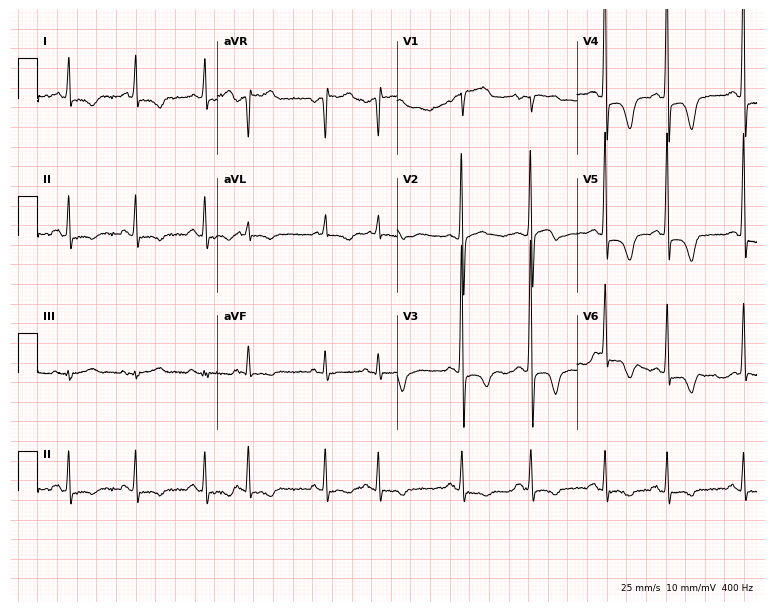
Resting 12-lead electrocardiogram. Patient: an 80-year-old man. None of these six findings is recorded: first-degree AV block, right bundle branch block, left bundle branch block, sinus bradycardia, atrial fibrillation, sinus tachycardia. Only these six findings were labelled.